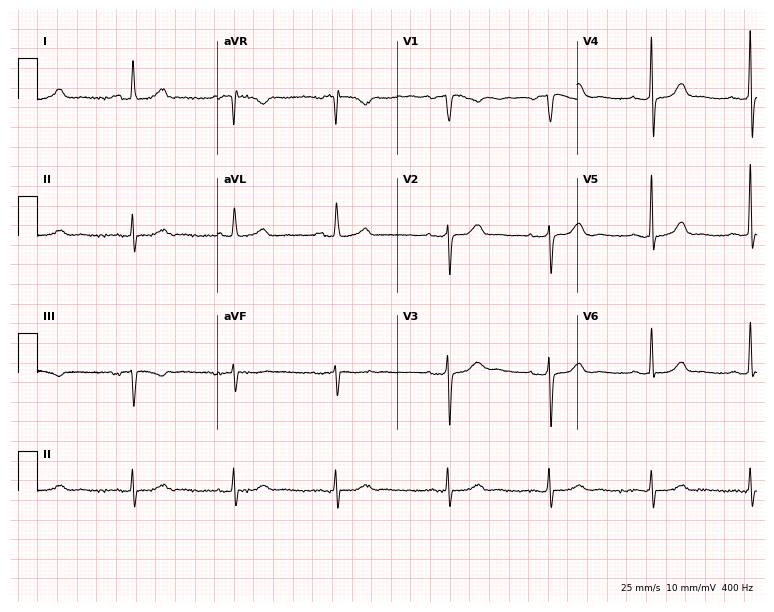
Resting 12-lead electrocardiogram. Patient: a 71-year-old female. Read as a normal ECG.